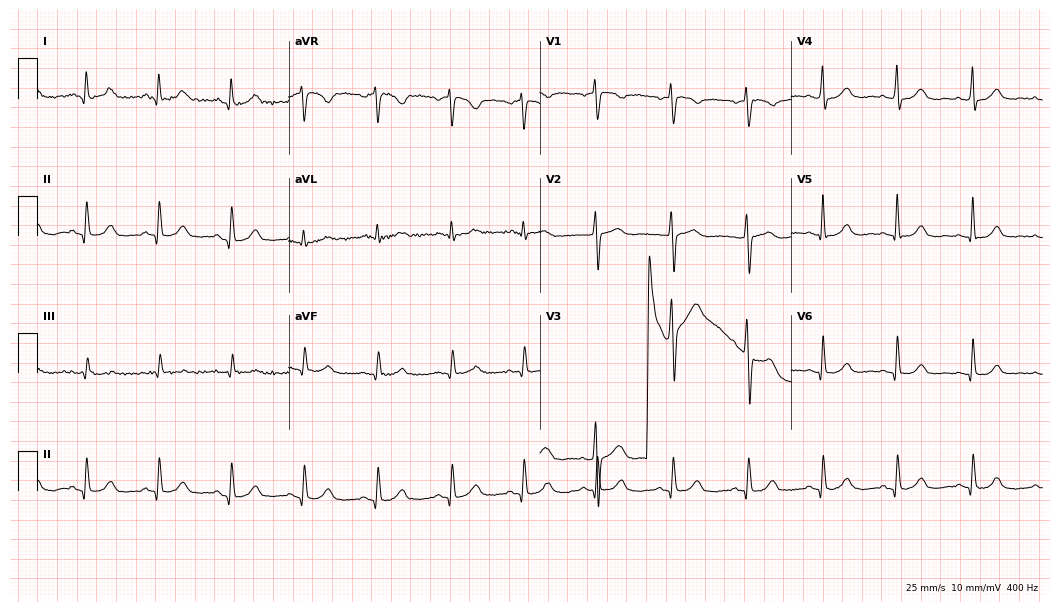
Standard 12-lead ECG recorded from a woman, 65 years old. Read as a normal ECG.